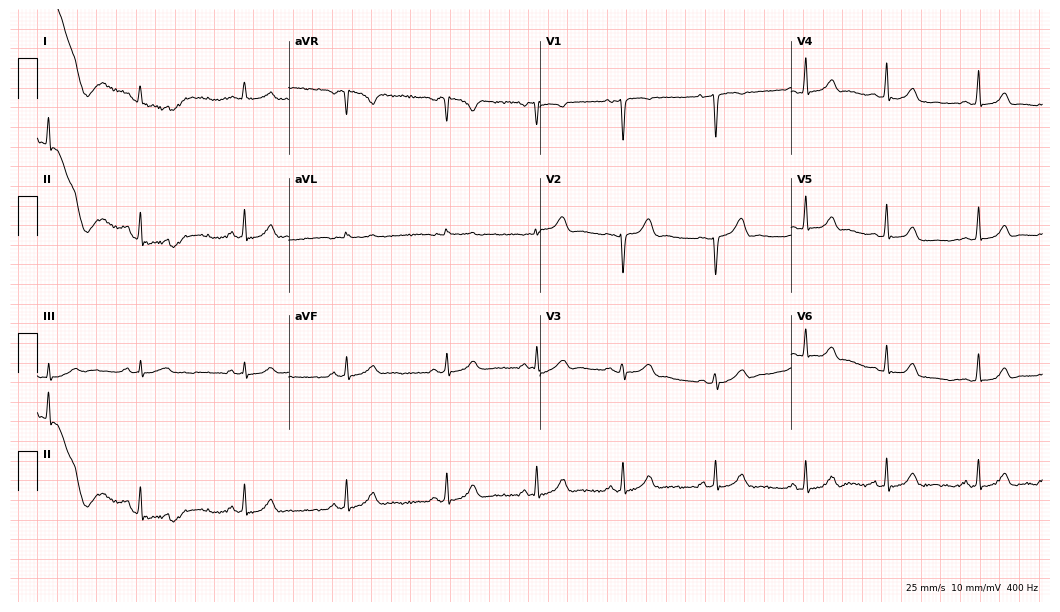
Standard 12-lead ECG recorded from a 20-year-old woman. Read as a normal ECG.